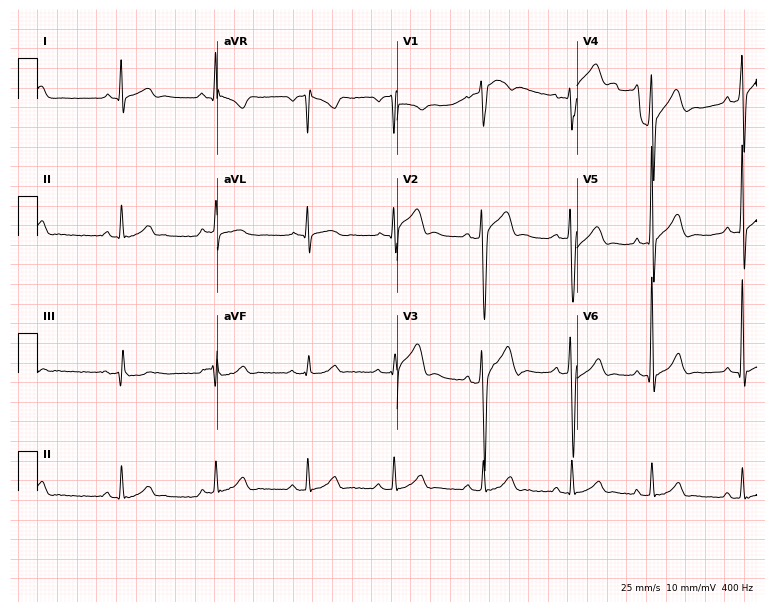
12-lead ECG from a 28-year-old male. Screened for six findings — first-degree AV block, right bundle branch block, left bundle branch block, sinus bradycardia, atrial fibrillation, sinus tachycardia — none is recorded. Only these six findings were labelled.